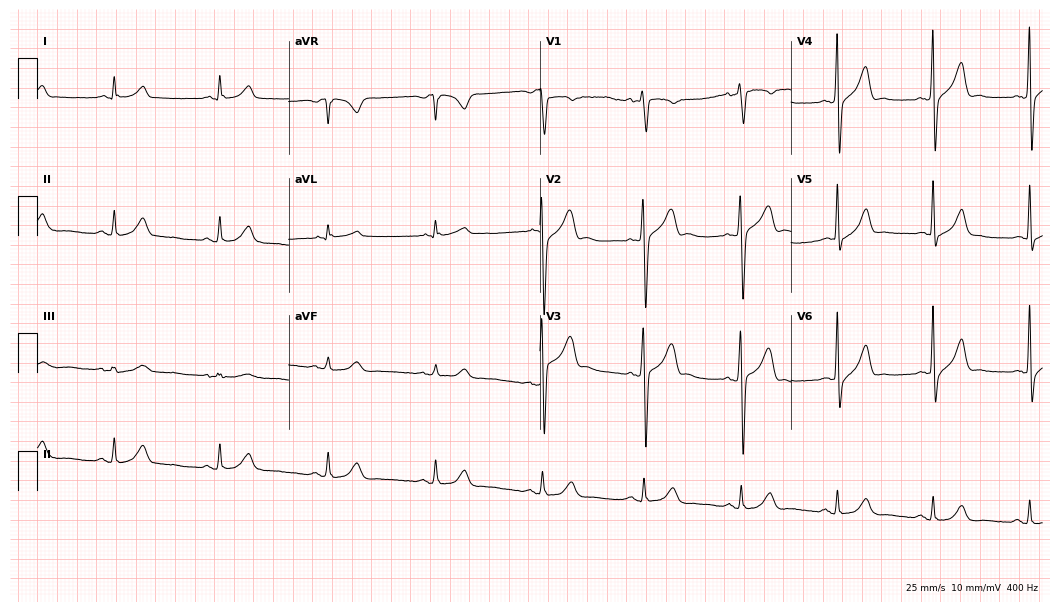
12-lead ECG from a man, 33 years old (10.2-second recording at 400 Hz). Recorded interpretation: within normal limits.